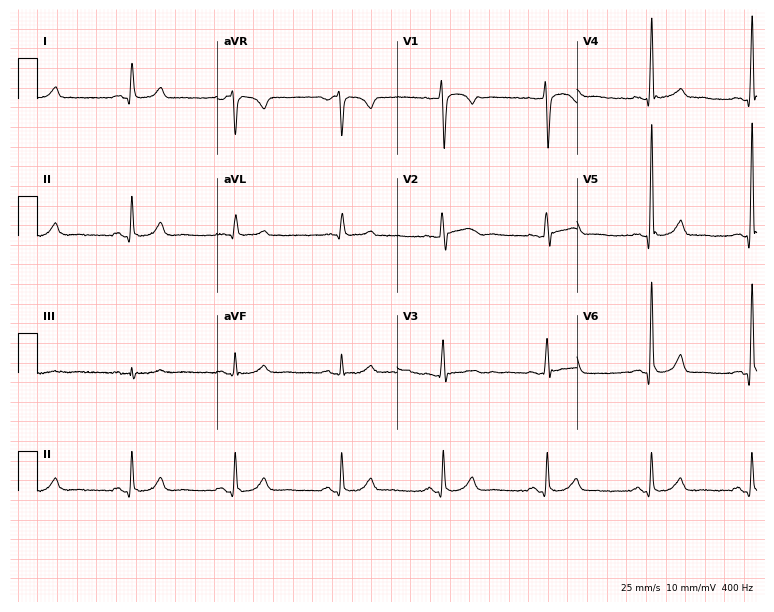
ECG (7.3-second recording at 400 Hz) — a 54-year-old female. Labelled as a normal ECG.